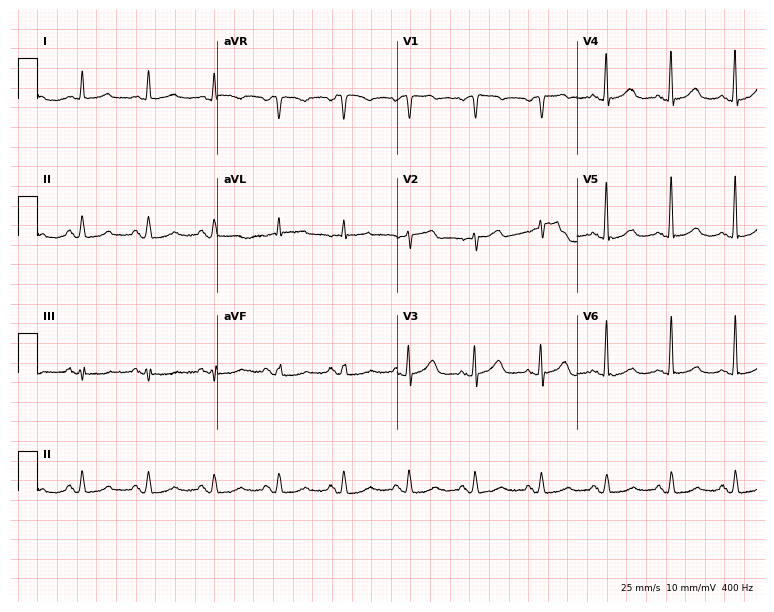
12-lead ECG from a male, 84 years old (7.3-second recording at 400 Hz). Recorded interpretation: within normal limits.